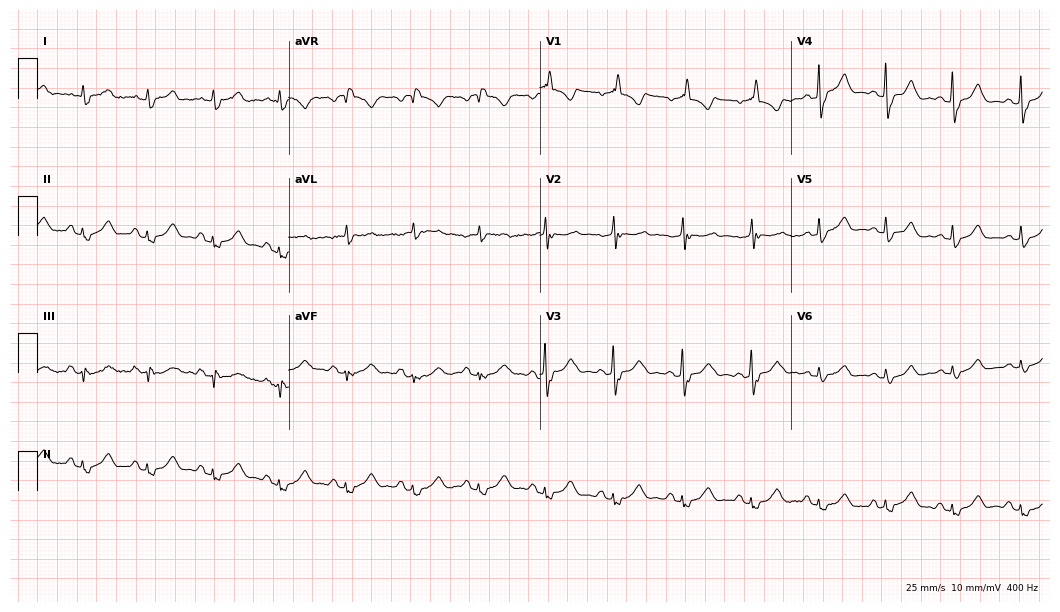
12-lead ECG from a male, 83 years old. No first-degree AV block, right bundle branch block (RBBB), left bundle branch block (LBBB), sinus bradycardia, atrial fibrillation (AF) or sinus tachycardia recorded for this tracing.